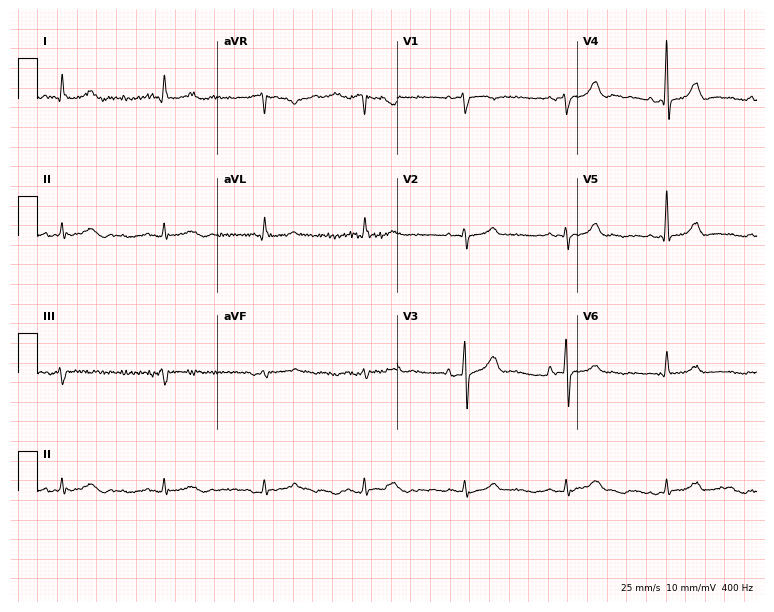
12-lead ECG from a male patient, 81 years old (7.3-second recording at 400 Hz). Recorded interpretation: within normal limits.